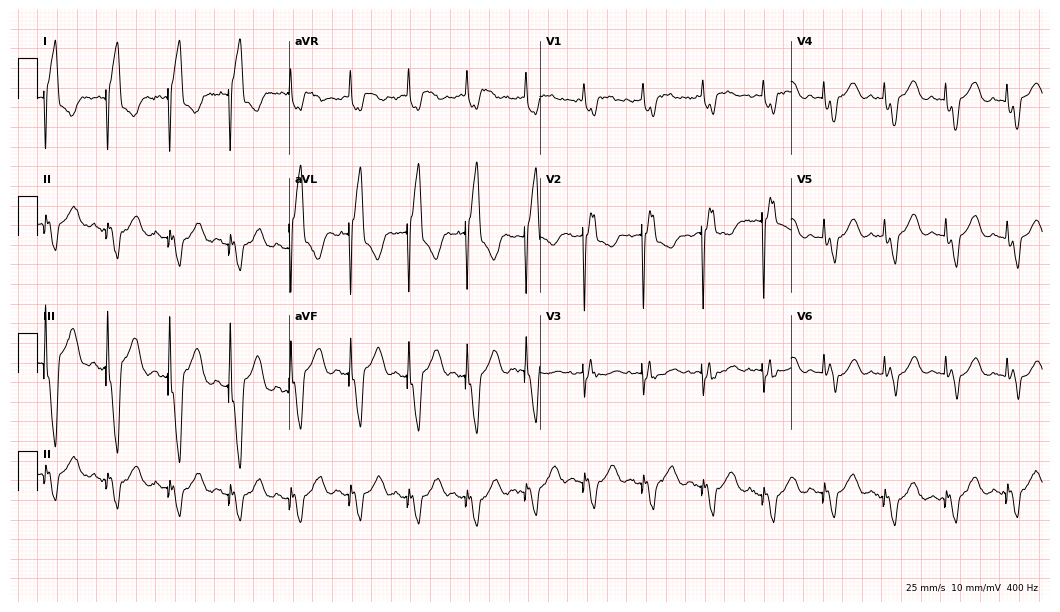
Electrocardiogram, a woman, 79 years old. Of the six screened findings (first-degree AV block, right bundle branch block (RBBB), left bundle branch block (LBBB), sinus bradycardia, atrial fibrillation (AF), sinus tachycardia), none is recorded. Findings outside these six are not listed.